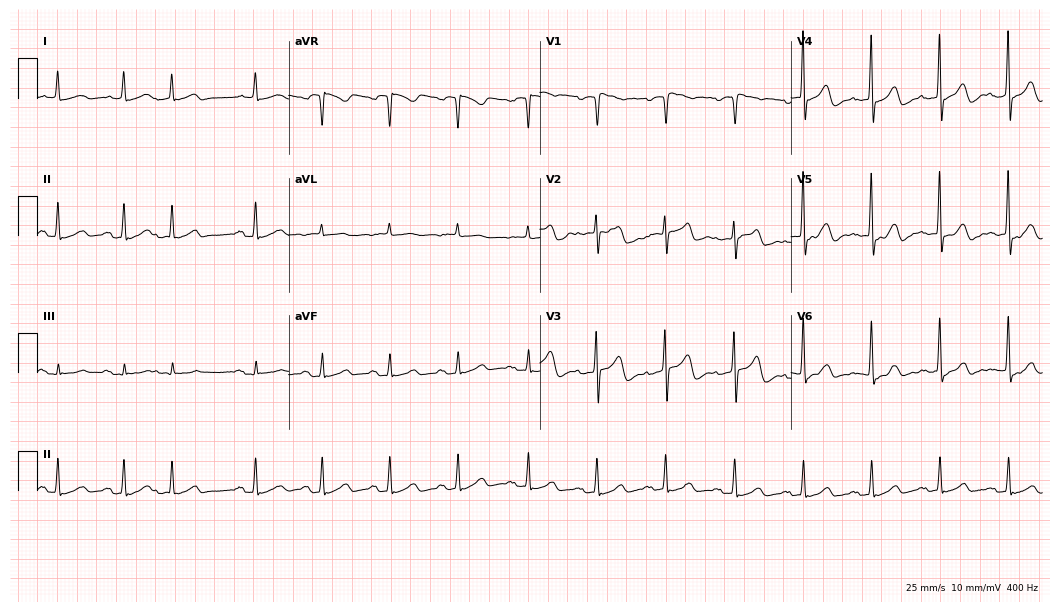
ECG (10.2-second recording at 400 Hz) — an 81-year-old male. Screened for six findings — first-degree AV block, right bundle branch block, left bundle branch block, sinus bradycardia, atrial fibrillation, sinus tachycardia — none is recorded. Findings outside these six are not listed.